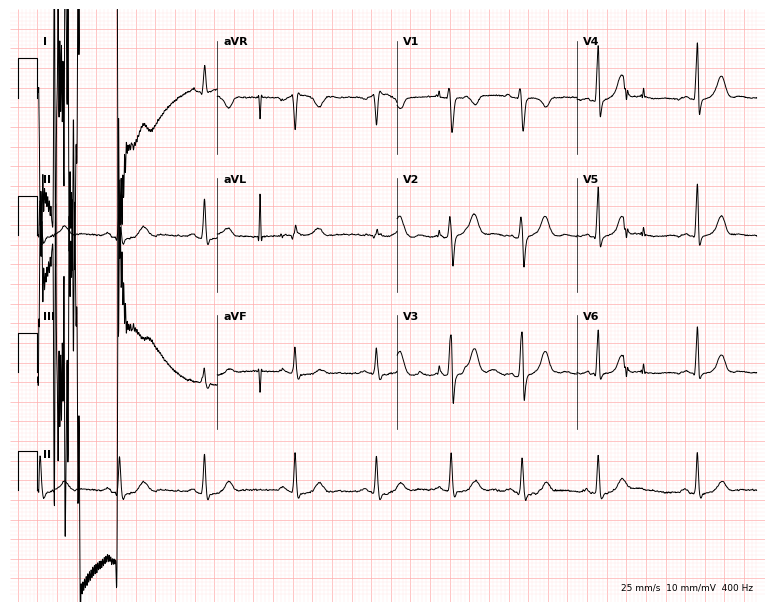
Resting 12-lead electrocardiogram (7.3-second recording at 400 Hz). Patient: a 20-year-old woman. None of these six findings is recorded: first-degree AV block, right bundle branch block, left bundle branch block, sinus bradycardia, atrial fibrillation, sinus tachycardia.